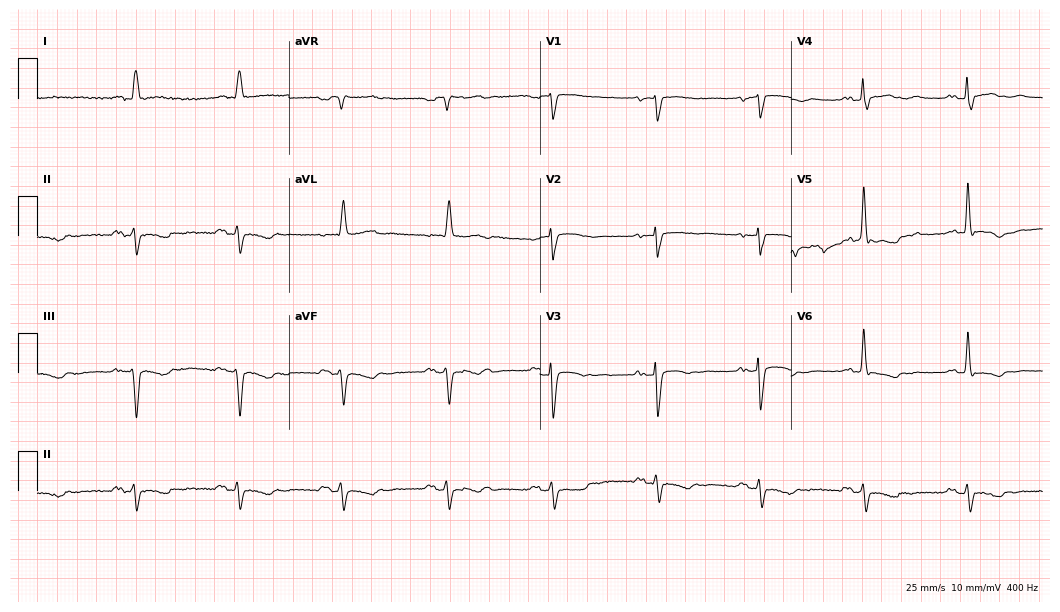
Resting 12-lead electrocardiogram (10.2-second recording at 400 Hz). Patient: a female, 83 years old. None of these six findings is recorded: first-degree AV block, right bundle branch block, left bundle branch block, sinus bradycardia, atrial fibrillation, sinus tachycardia.